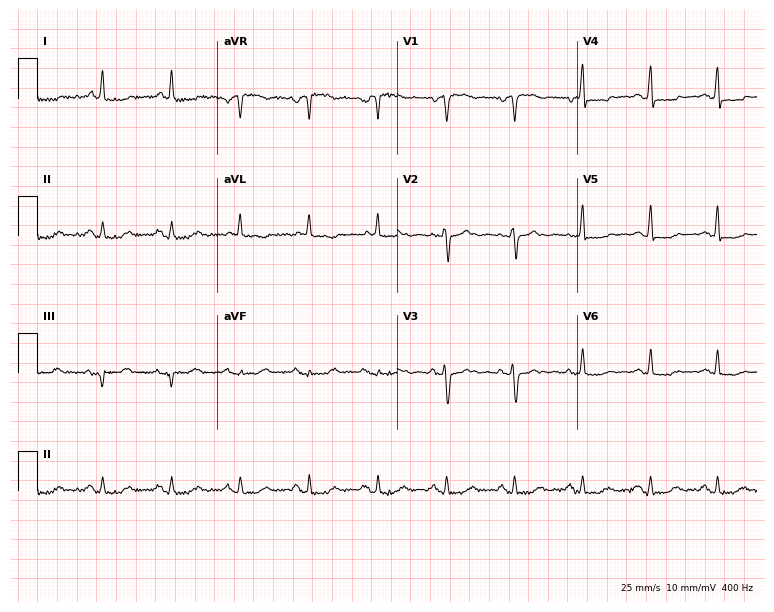
Resting 12-lead electrocardiogram. Patient: a female, 65 years old. None of these six findings is recorded: first-degree AV block, right bundle branch block, left bundle branch block, sinus bradycardia, atrial fibrillation, sinus tachycardia. Findings outside these six are not listed.